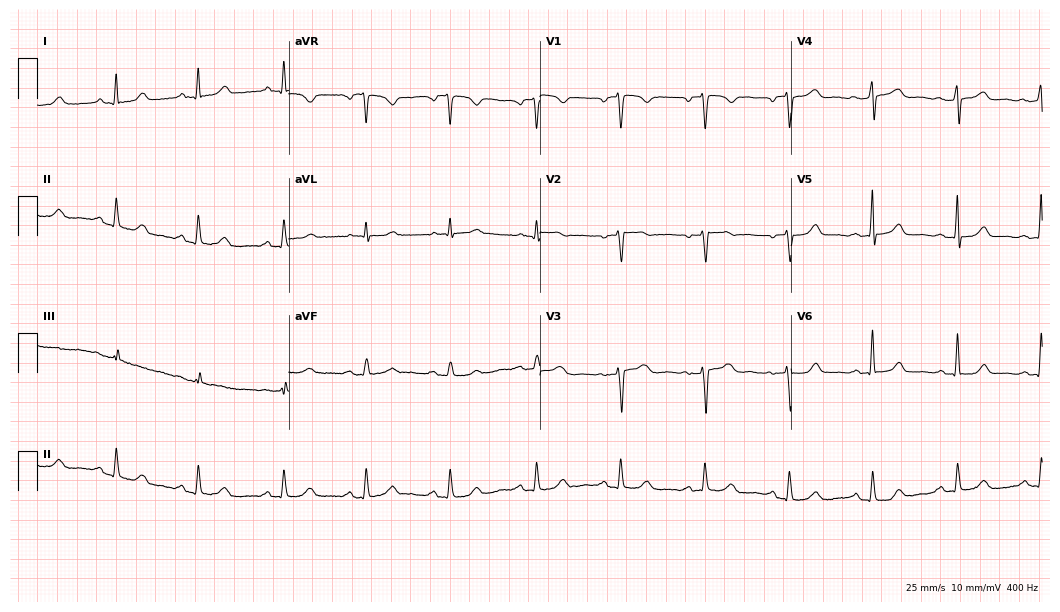
12-lead ECG from a female, 65 years old. Labelled as a normal ECG.